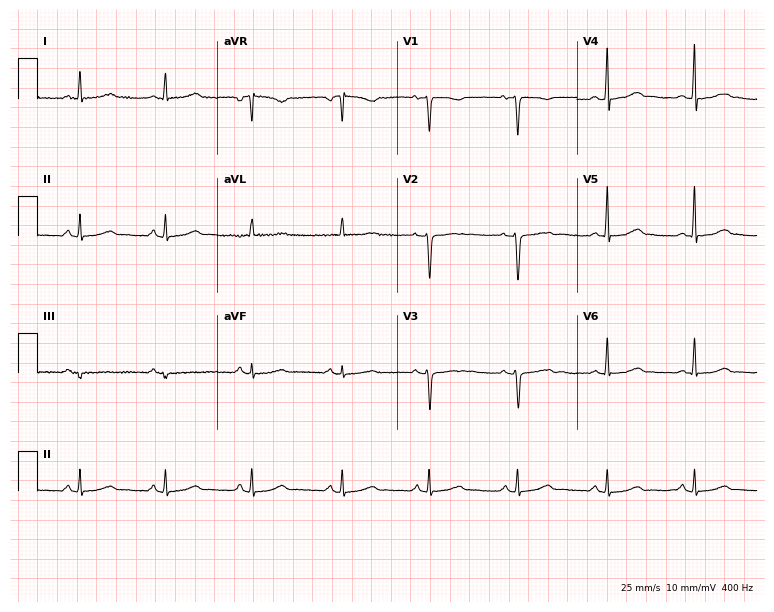
12-lead ECG from a female patient, 43 years old (7.3-second recording at 400 Hz). No first-degree AV block, right bundle branch block, left bundle branch block, sinus bradycardia, atrial fibrillation or sinus tachycardia recorded for this tracing. Other findings, if any, are not listed.